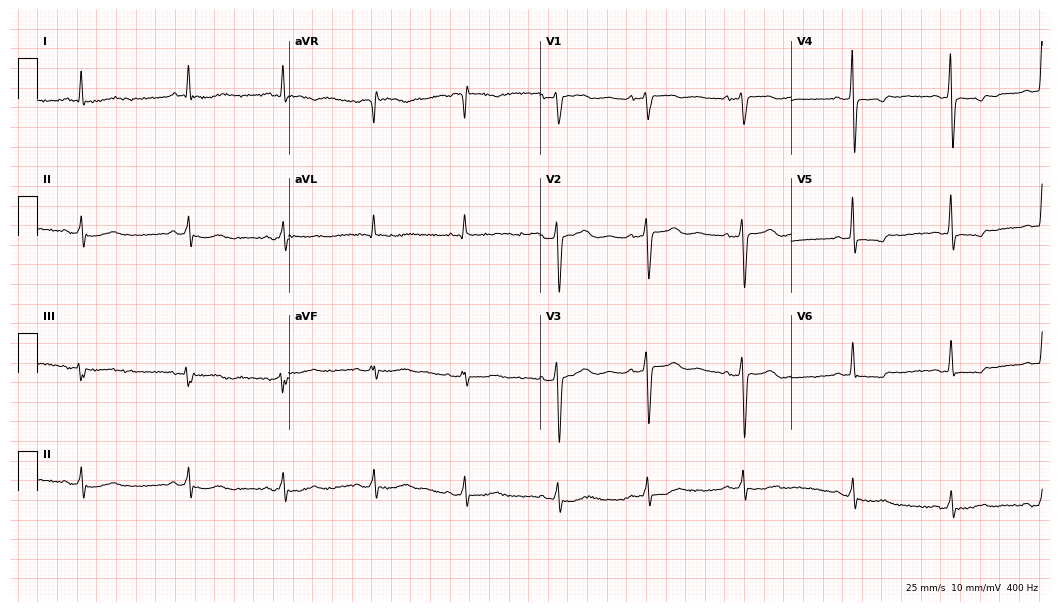
12-lead ECG (10.2-second recording at 400 Hz) from a female patient, 65 years old. Screened for six findings — first-degree AV block, right bundle branch block (RBBB), left bundle branch block (LBBB), sinus bradycardia, atrial fibrillation (AF), sinus tachycardia — none is recorded. Only these six findings were labelled.